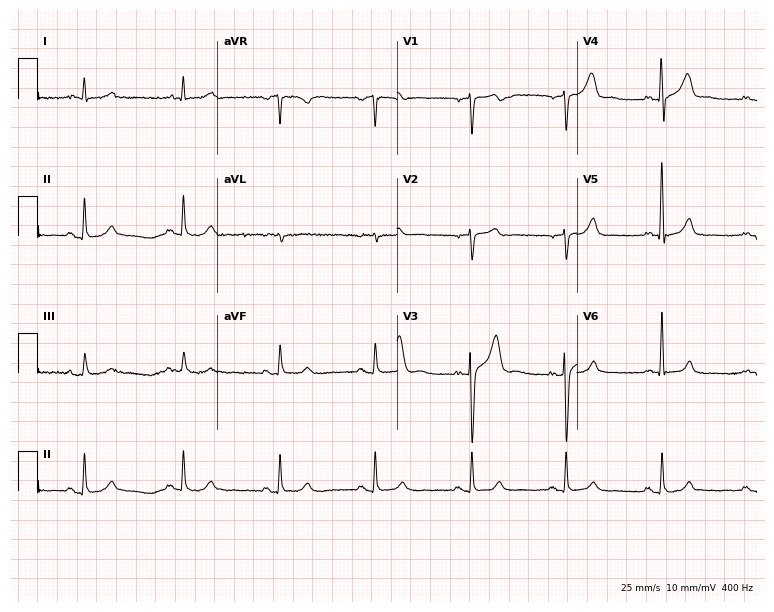
Resting 12-lead electrocardiogram. Patient: a male, 57 years old. Read as a normal ECG.